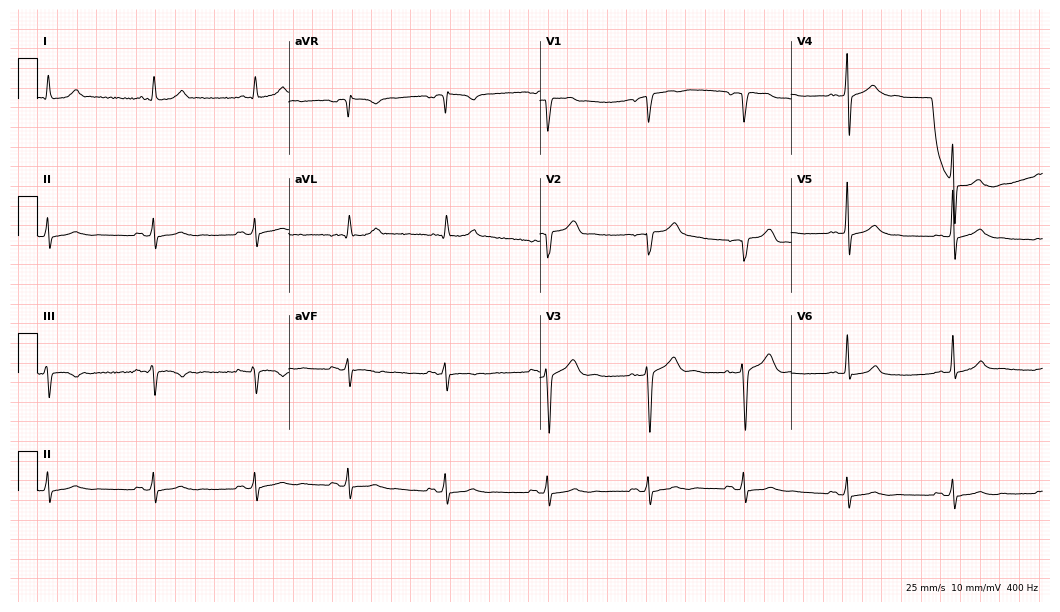
Electrocardiogram (10.2-second recording at 400 Hz), a 54-year-old male. Overall reading on record: normal ECG.